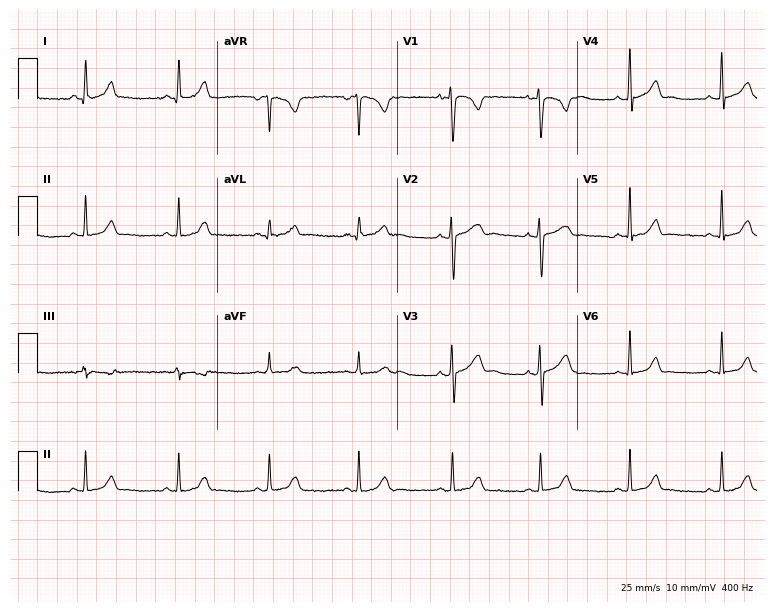
ECG (7.3-second recording at 400 Hz) — a 41-year-old female. Labelled as a normal ECG.